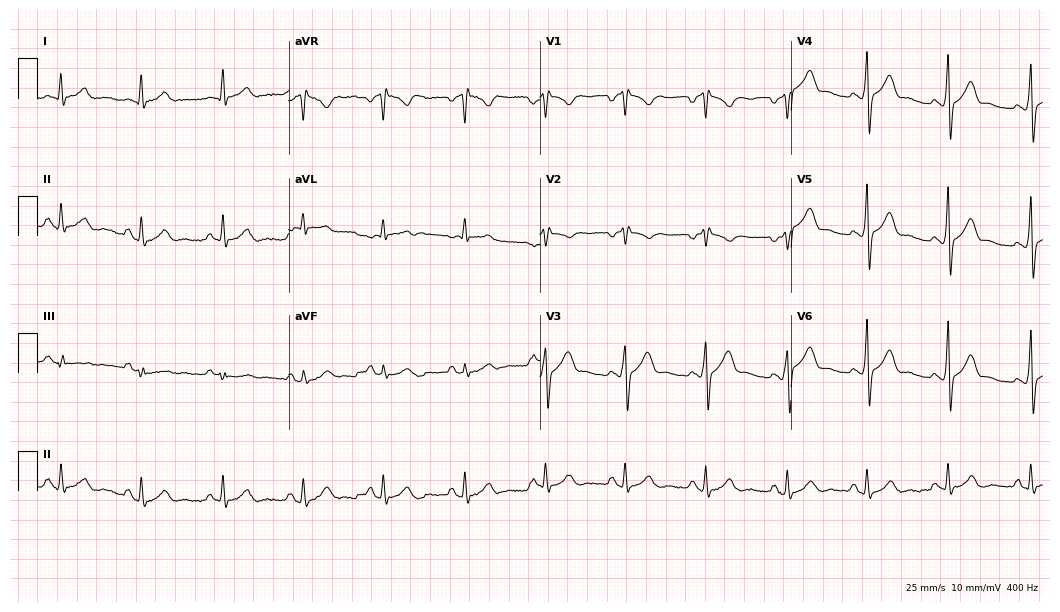
Resting 12-lead electrocardiogram (10.2-second recording at 400 Hz). Patient: a male, 33 years old. Read as a normal ECG.